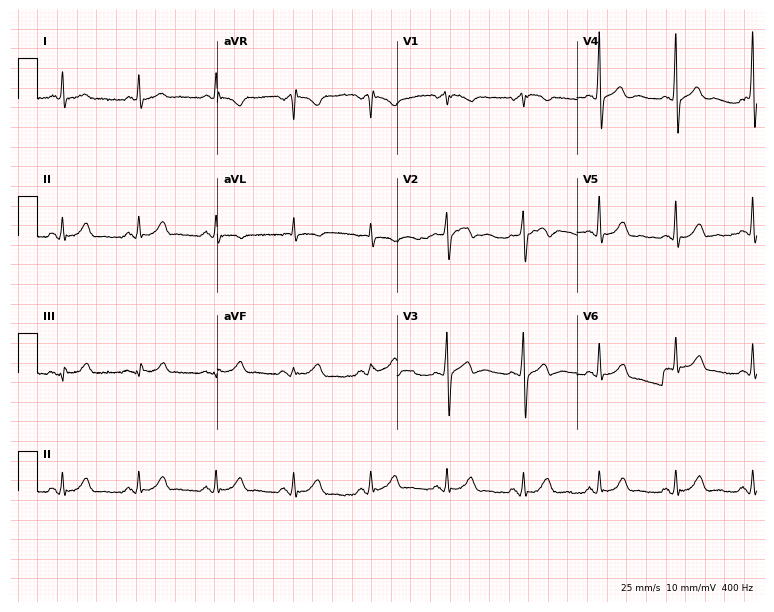
Electrocardiogram, a male, 62 years old. Overall reading on record: normal ECG.